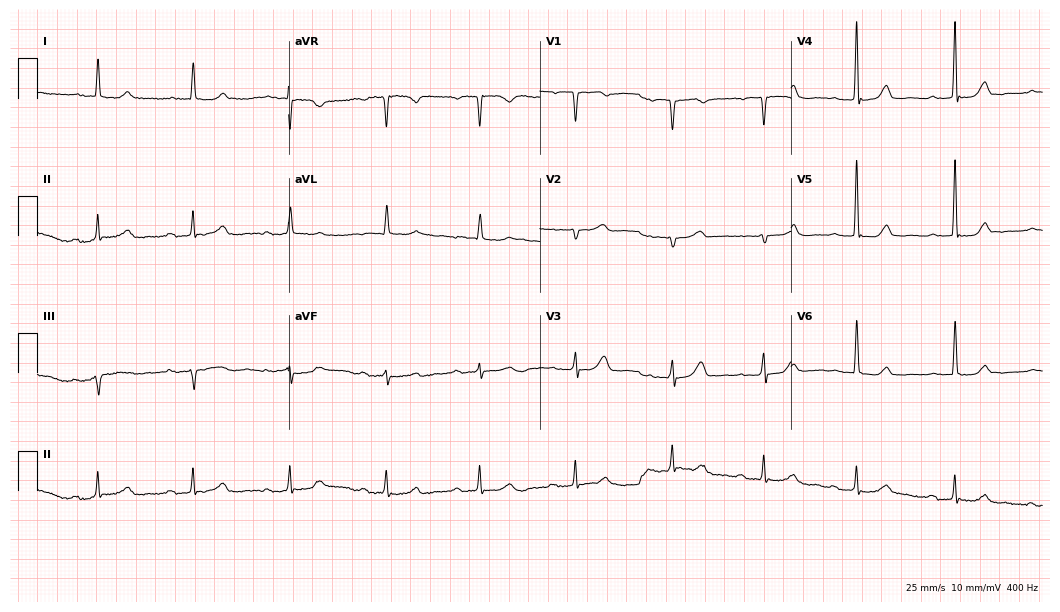
ECG (10.2-second recording at 400 Hz) — a female, 83 years old. Screened for six findings — first-degree AV block, right bundle branch block, left bundle branch block, sinus bradycardia, atrial fibrillation, sinus tachycardia — none is recorded. Other findings, if any, are not listed.